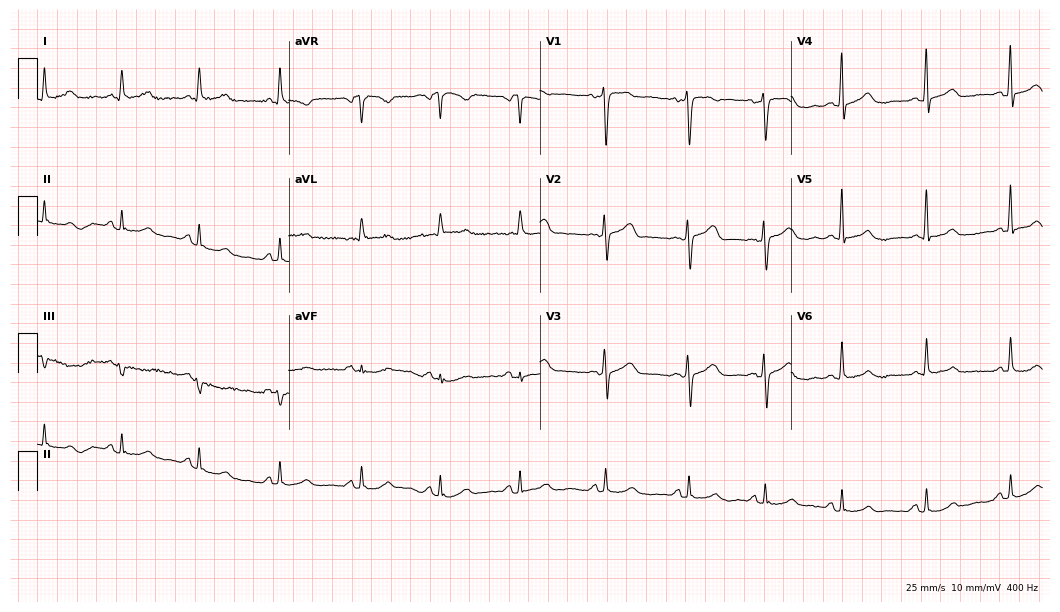
Electrocardiogram, a 57-year-old female. Overall reading on record: normal ECG.